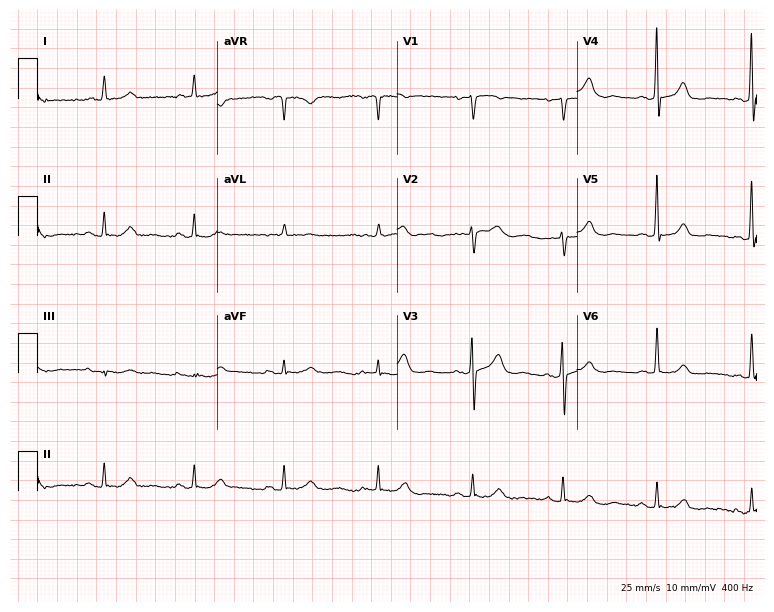
ECG (7.3-second recording at 400 Hz) — a female, 83 years old. Screened for six findings — first-degree AV block, right bundle branch block, left bundle branch block, sinus bradycardia, atrial fibrillation, sinus tachycardia — none is recorded.